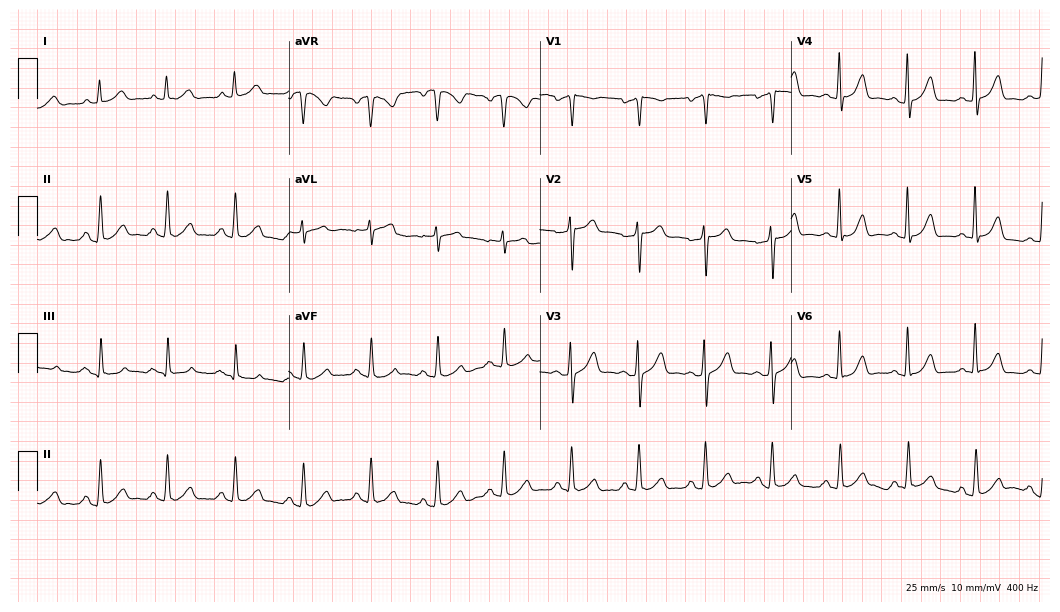
12-lead ECG from a 63-year-old female (10.2-second recording at 400 Hz). No first-degree AV block, right bundle branch block (RBBB), left bundle branch block (LBBB), sinus bradycardia, atrial fibrillation (AF) or sinus tachycardia recorded for this tracing. Other findings, if any, are not listed.